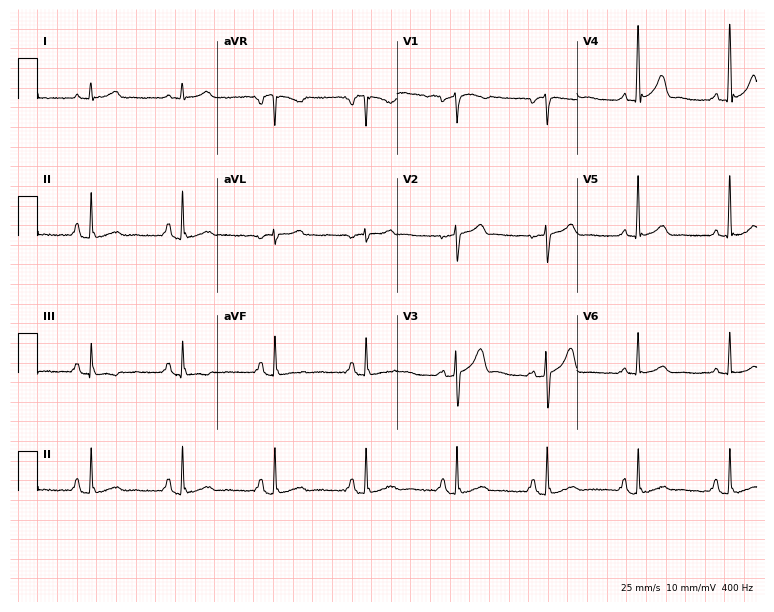
12-lead ECG (7.3-second recording at 400 Hz) from a 73-year-old man. Labelled as a normal ECG.